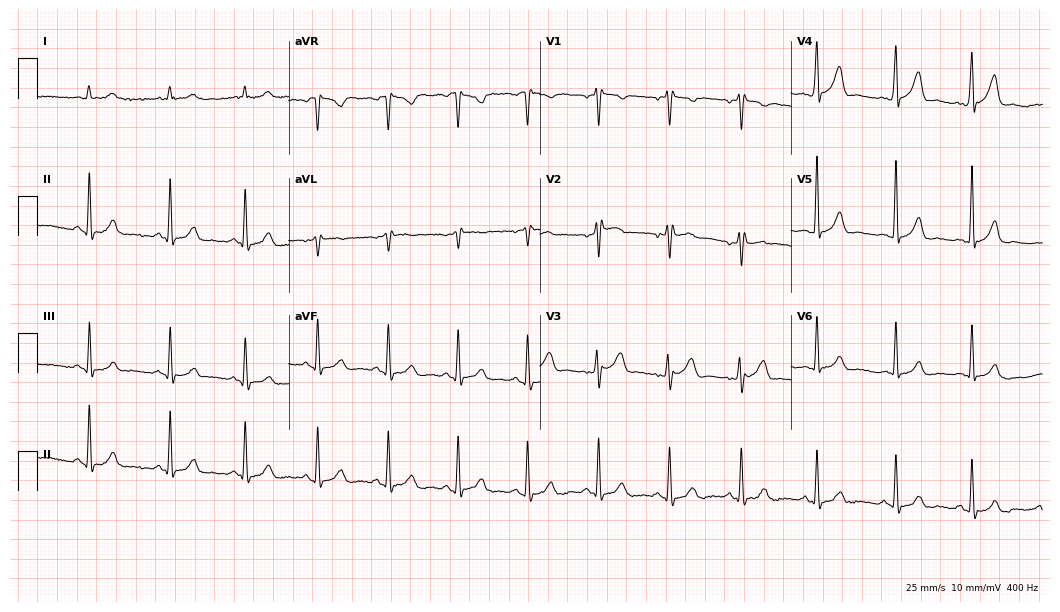
12-lead ECG (10.2-second recording at 400 Hz) from a 27-year-old man. Labelled as a normal ECG.